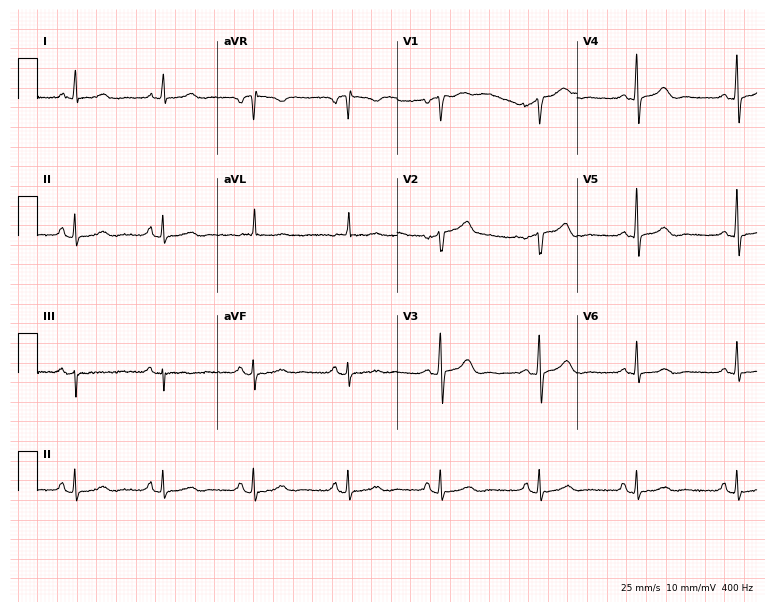
Electrocardiogram, a 48-year-old female patient. Of the six screened findings (first-degree AV block, right bundle branch block (RBBB), left bundle branch block (LBBB), sinus bradycardia, atrial fibrillation (AF), sinus tachycardia), none is recorded. Only these six findings were labelled.